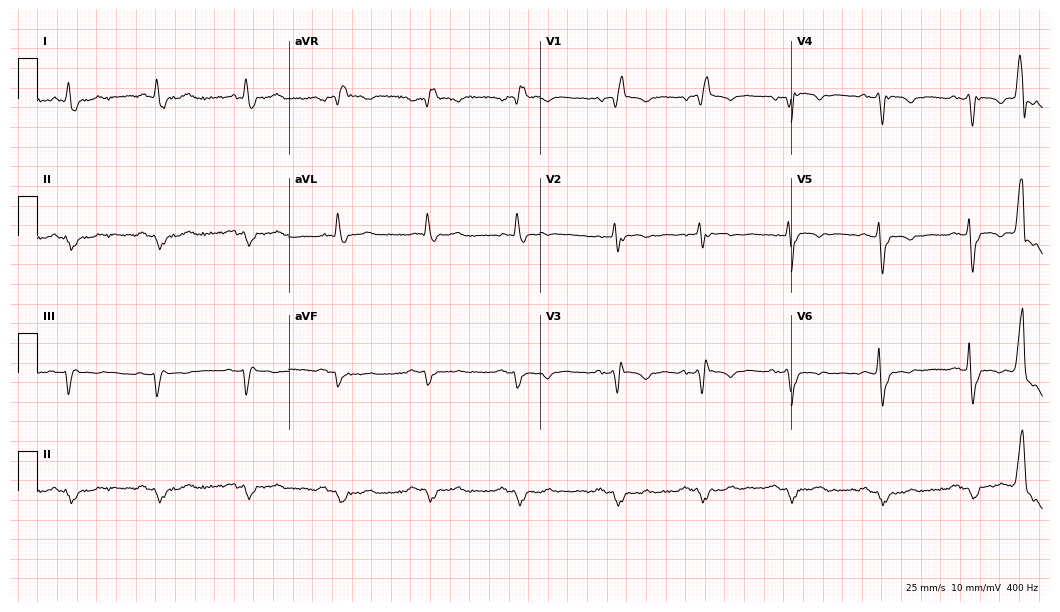
Standard 12-lead ECG recorded from a 78-year-old male patient. The tracing shows right bundle branch block (RBBB).